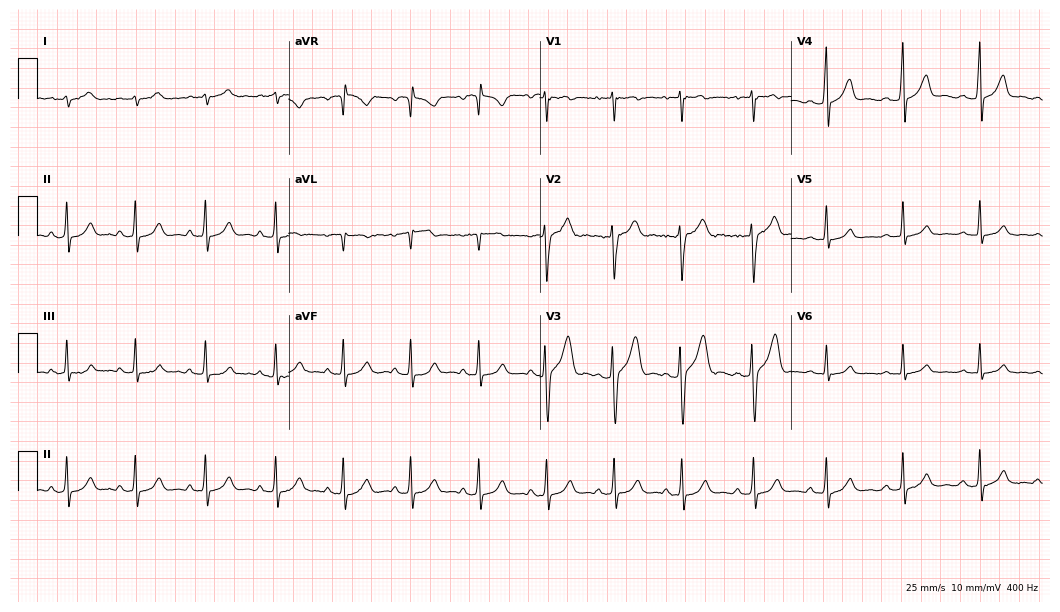
Standard 12-lead ECG recorded from a 21-year-old male patient (10.2-second recording at 400 Hz). Read as a normal ECG.